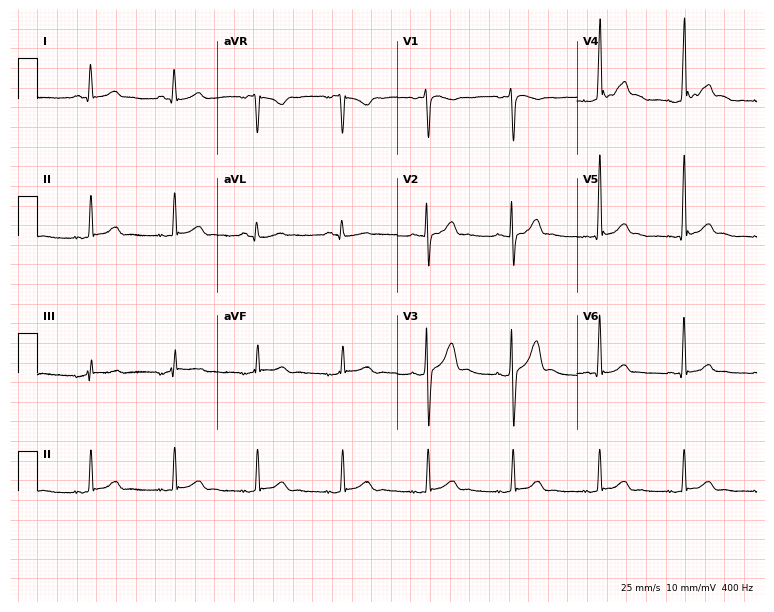
Electrocardiogram, a man, 23 years old. Overall reading on record: normal ECG.